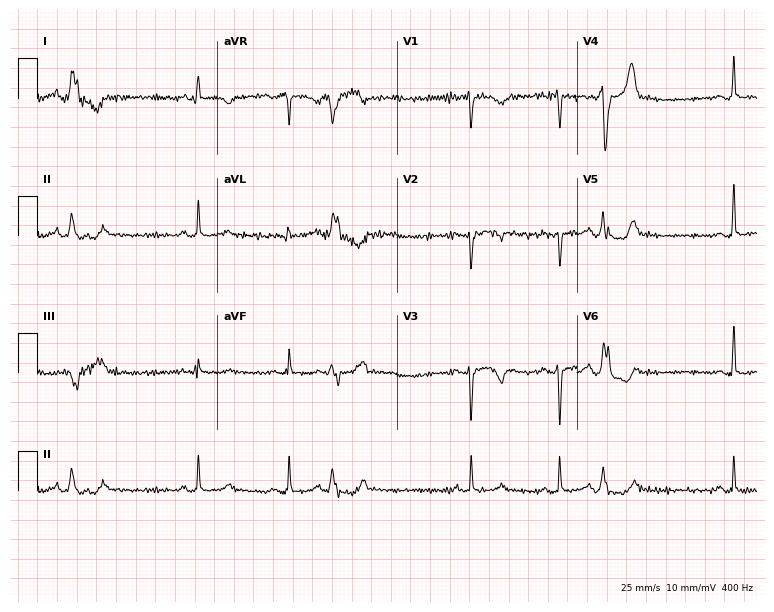
Electrocardiogram, a 17-year-old female. Of the six screened findings (first-degree AV block, right bundle branch block, left bundle branch block, sinus bradycardia, atrial fibrillation, sinus tachycardia), none is recorded.